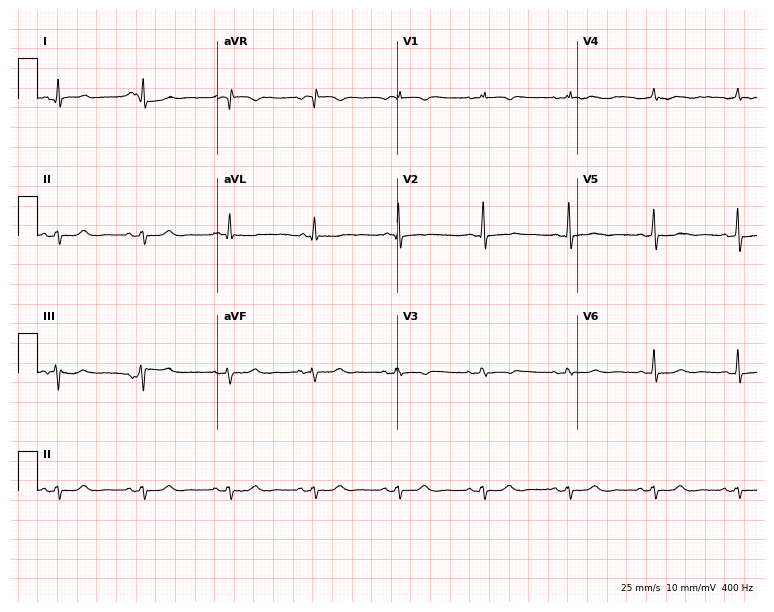
Standard 12-lead ECG recorded from a female, 56 years old (7.3-second recording at 400 Hz). None of these six findings is recorded: first-degree AV block, right bundle branch block, left bundle branch block, sinus bradycardia, atrial fibrillation, sinus tachycardia.